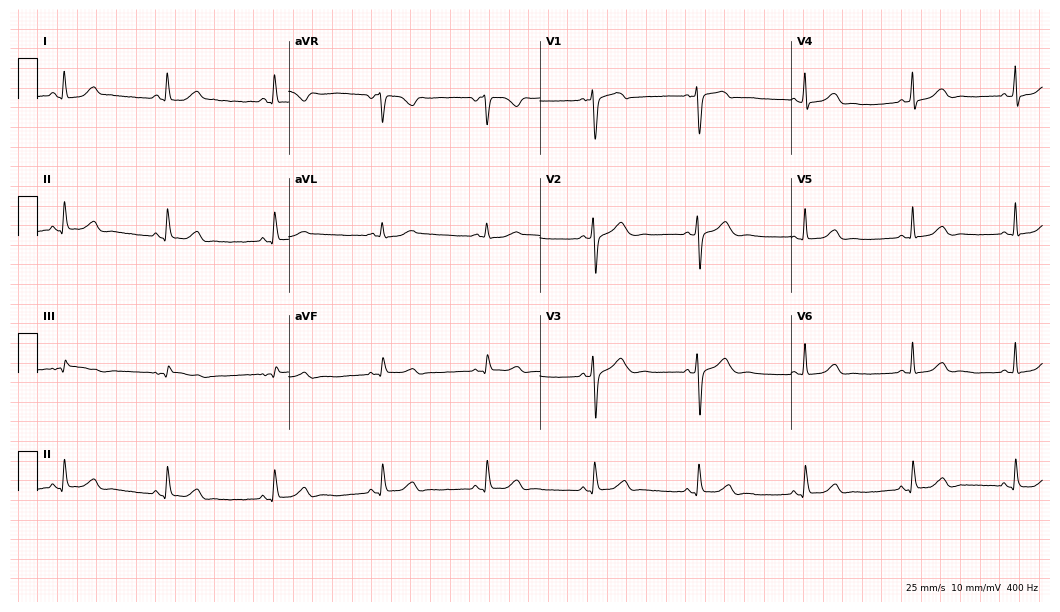
12-lead ECG (10.2-second recording at 400 Hz) from a 40-year-old female patient. Labelled as a normal ECG.